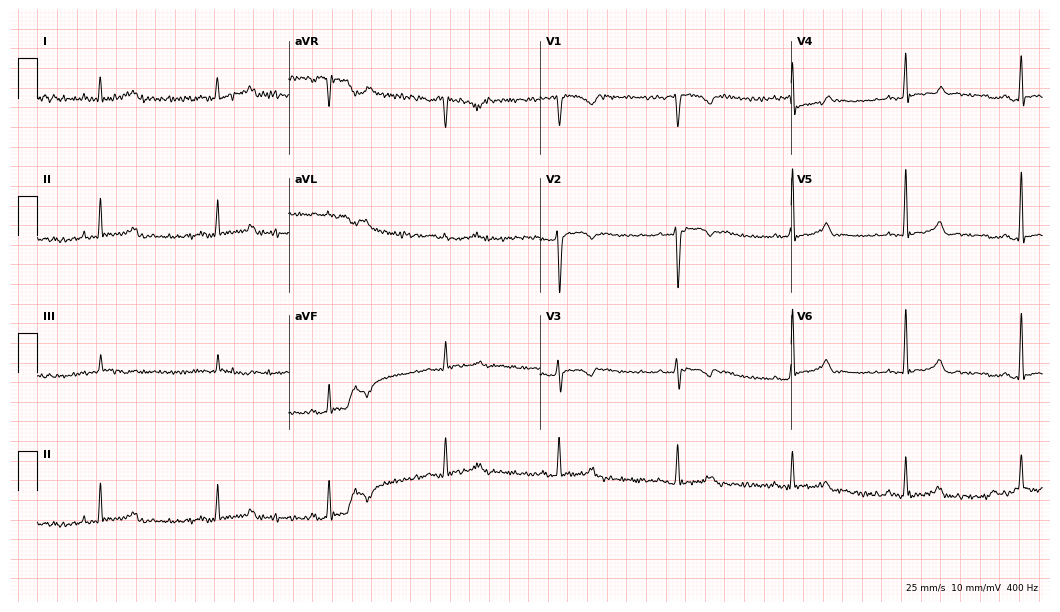
ECG — a female patient, 33 years old. Labelled as a normal ECG.